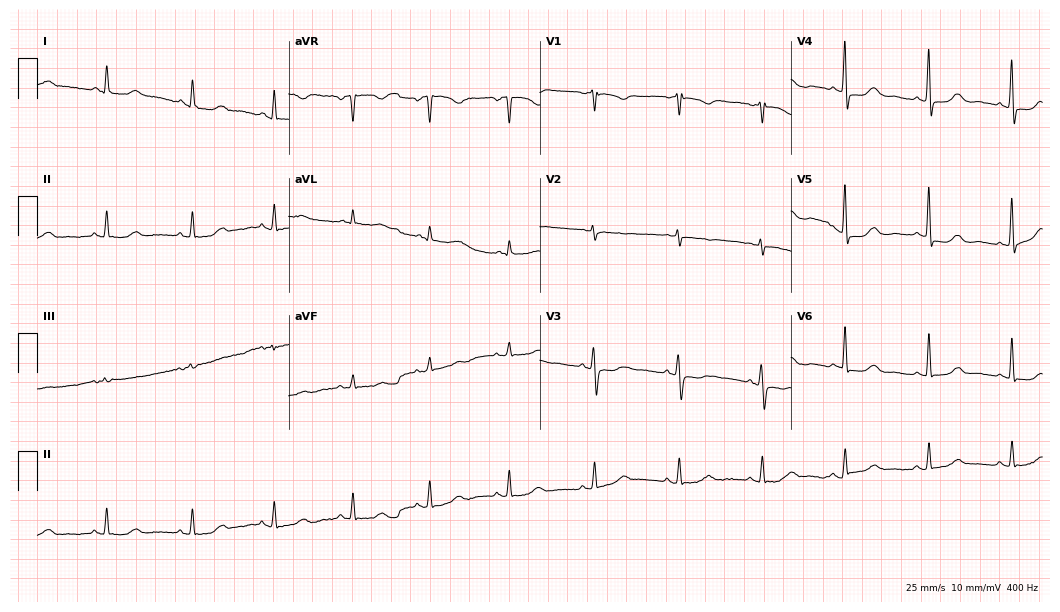
12-lead ECG from an 81-year-old woman. Labelled as a normal ECG.